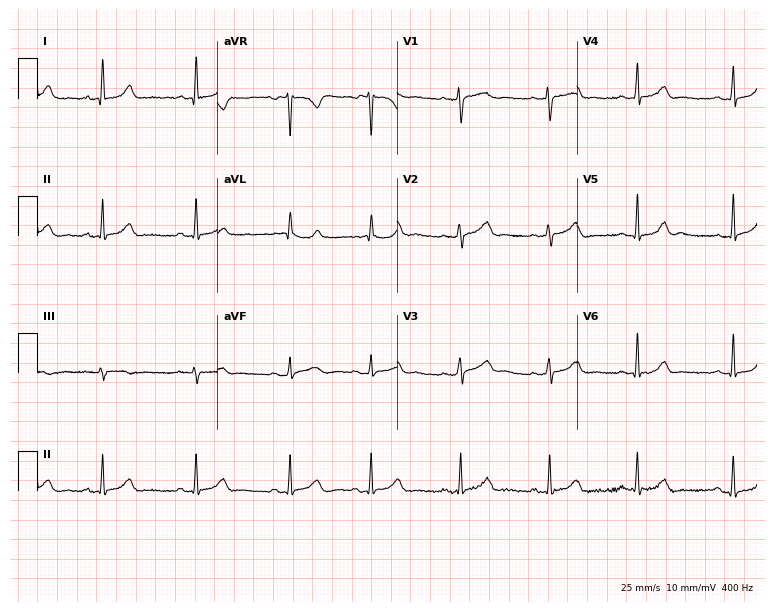
12-lead ECG (7.3-second recording at 400 Hz) from a 19-year-old woman. Screened for six findings — first-degree AV block, right bundle branch block (RBBB), left bundle branch block (LBBB), sinus bradycardia, atrial fibrillation (AF), sinus tachycardia — none is recorded.